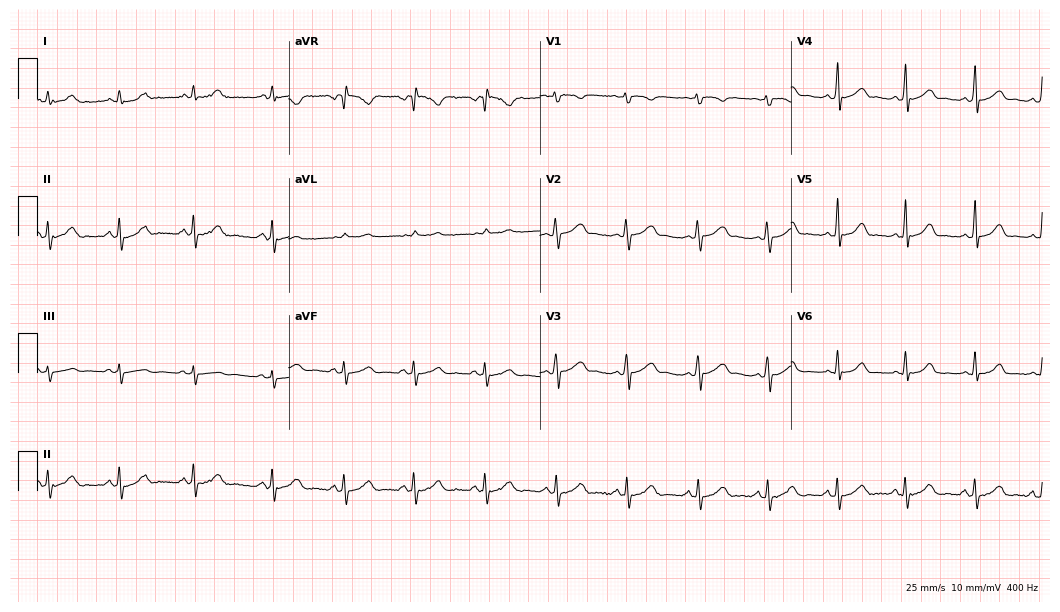
Resting 12-lead electrocardiogram. Patient: a 29-year-old female. Read as a normal ECG.